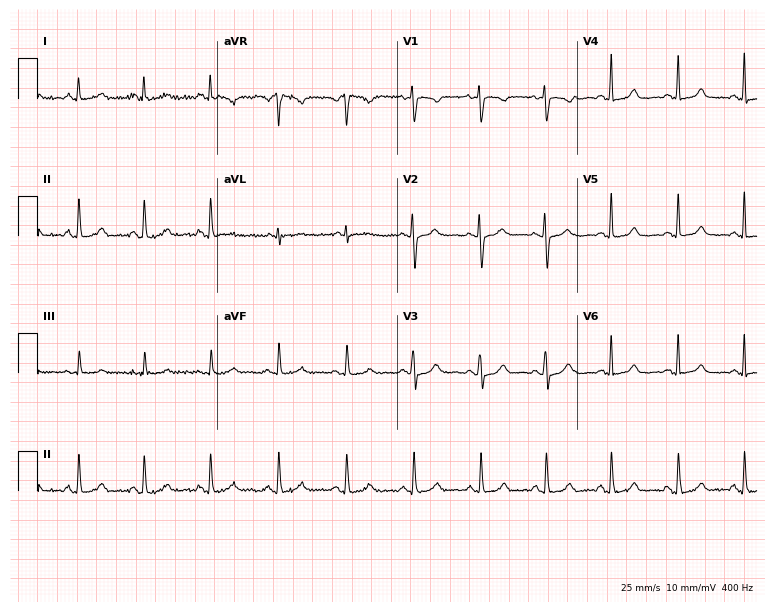
Electrocardiogram (7.3-second recording at 400 Hz), a female, 40 years old. Overall reading on record: normal ECG.